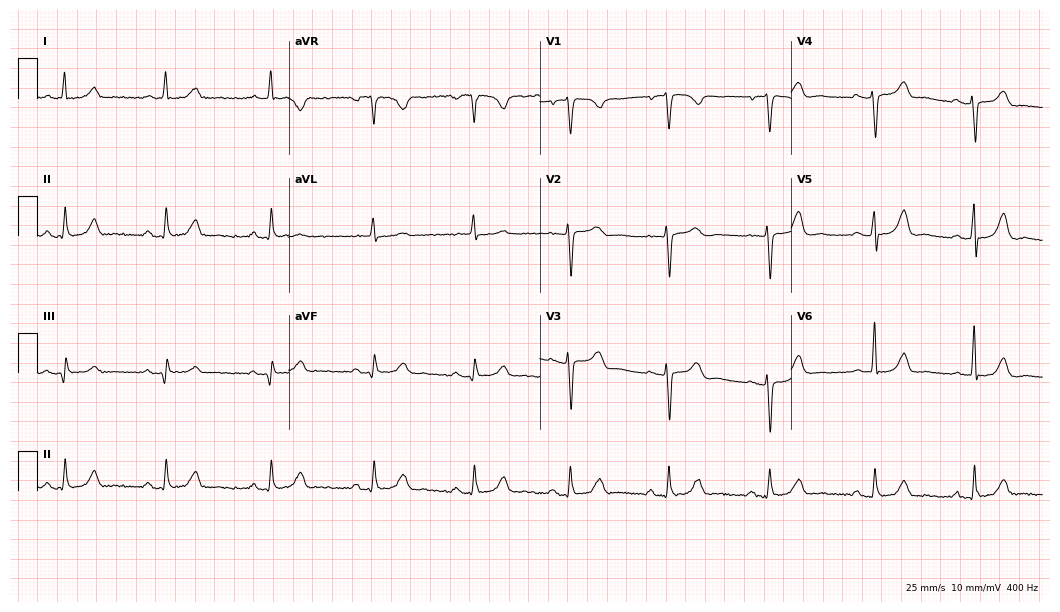
12-lead ECG (10.2-second recording at 400 Hz) from a 65-year-old woman. Labelled as a normal ECG.